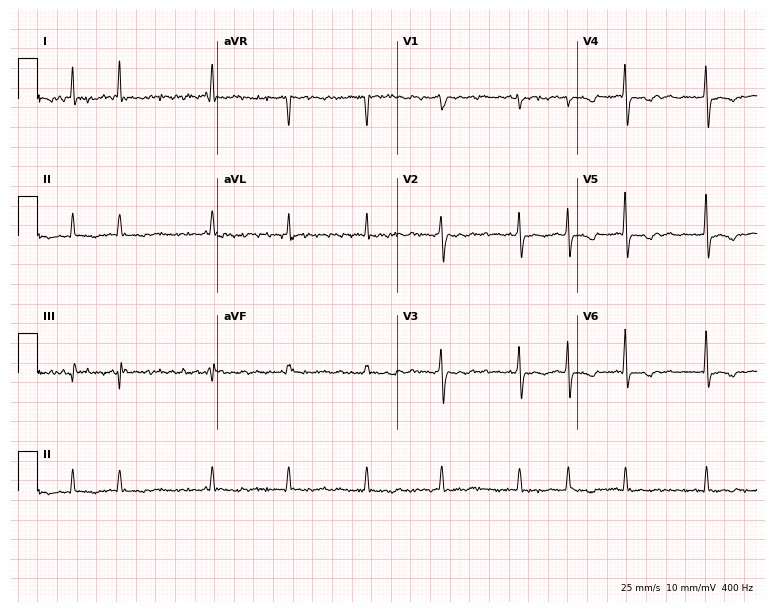
12-lead ECG from a female, 58 years old. Shows atrial fibrillation (AF).